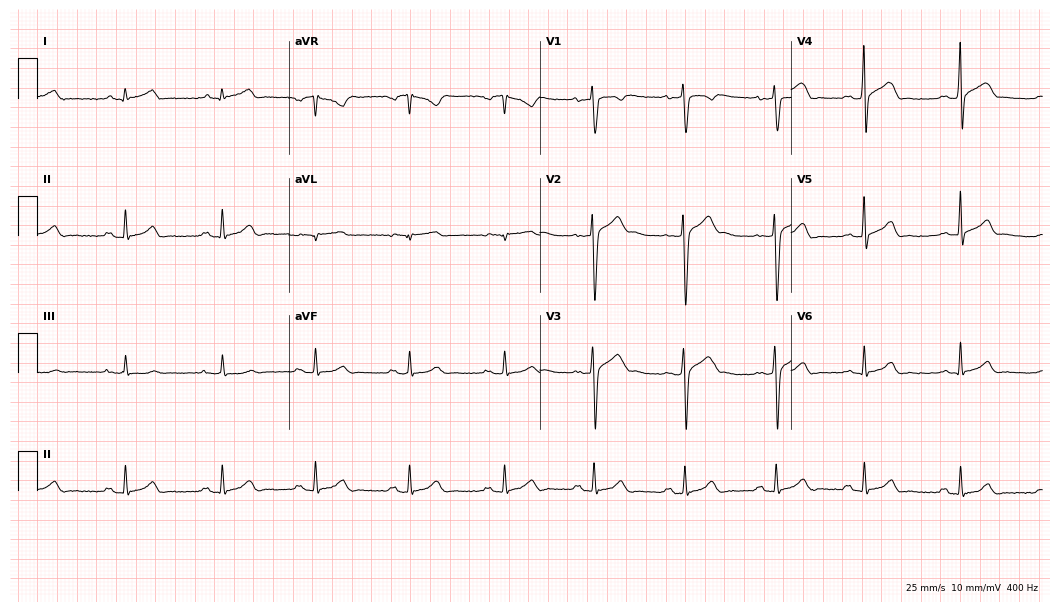
Resting 12-lead electrocardiogram. Patient: a 30-year-old man. None of these six findings is recorded: first-degree AV block, right bundle branch block (RBBB), left bundle branch block (LBBB), sinus bradycardia, atrial fibrillation (AF), sinus tachycardia. Other findings, if any, are not listed.